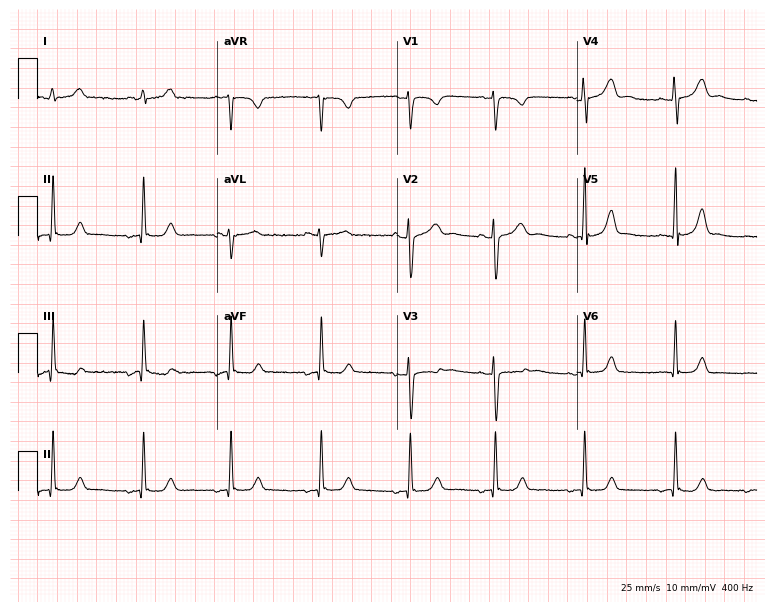
Resting 12-lead electrocardiogram (7.3-second recording at 400 Hz). Patient: a woman, 38 years old. Read as a normal ECG.